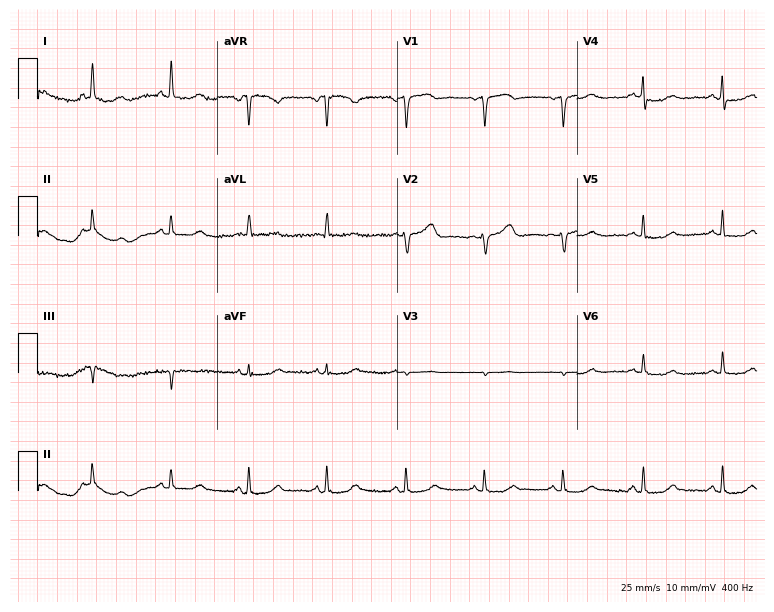
12-lead ECG from a female patient, 64 years old. Recorded interpretation: within normal limits.